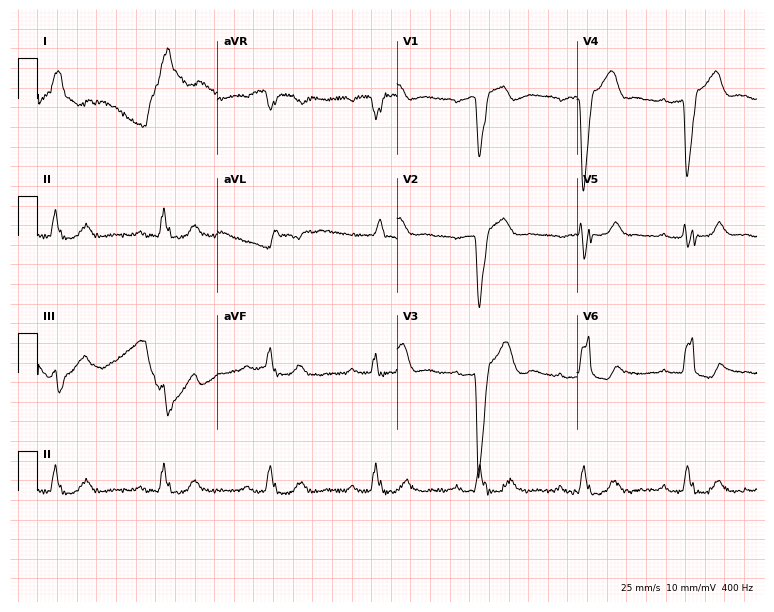
Resting 12-lead electrocardiogram (7.3-second recording at 400 Hz). Patient: a 79-year-old man. The tracing shows first-degree AV block, left bundle branch block.